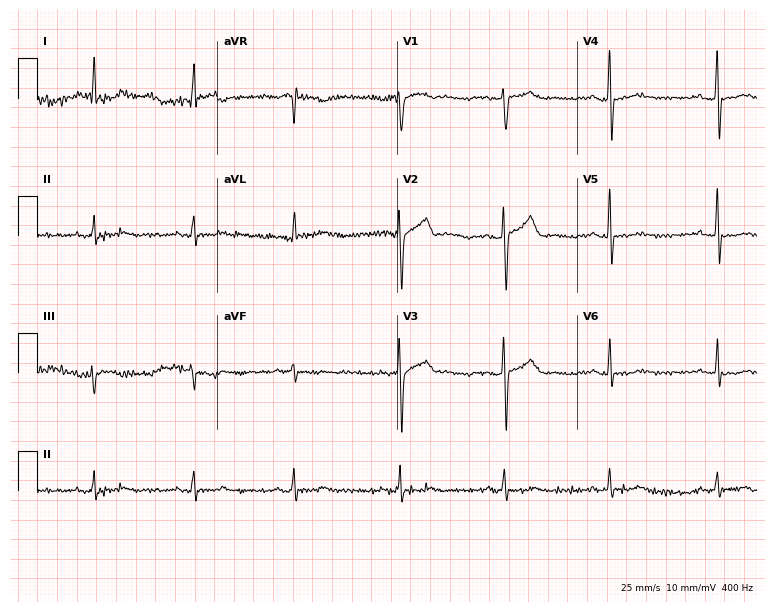
ECG — a female, 56 years old. Screened for six findings — first-degree AV block, right bundle branch block (RBBB), left bundle branch block (LBBB), sinus bradycardia, atrial fibrillation (AF), sinus tachycardia — none is recorded. Only these six findings were labelled.